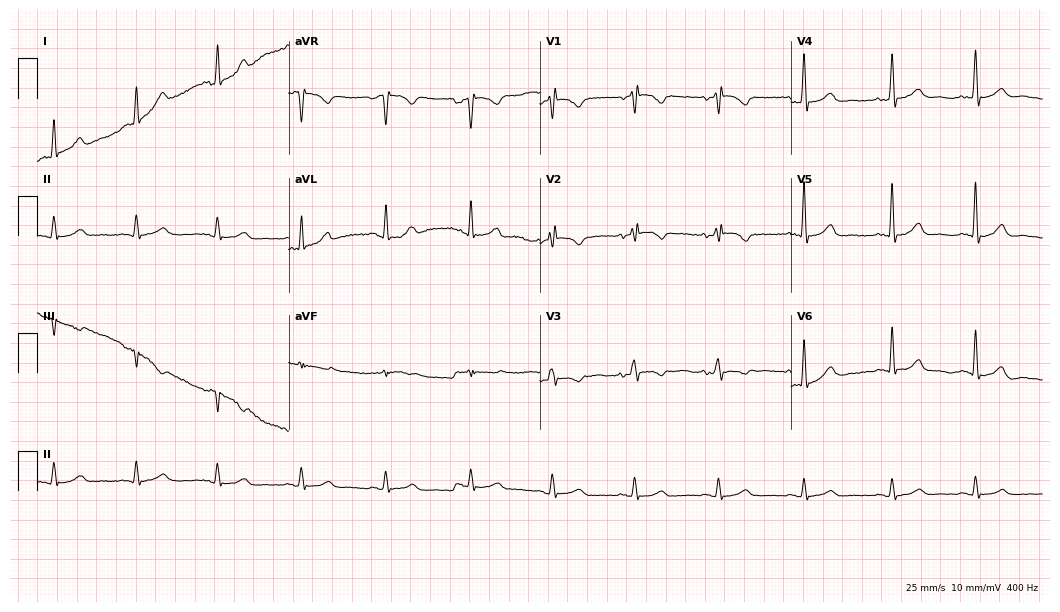
12-lead ECG from a female patient, 58 years old. Screened for six findings — first-degree AV block, right bundle branch block, left bundle branch block, sinus bradycardia, atrial fibrillation, sinus tachycardia — none is recorded.